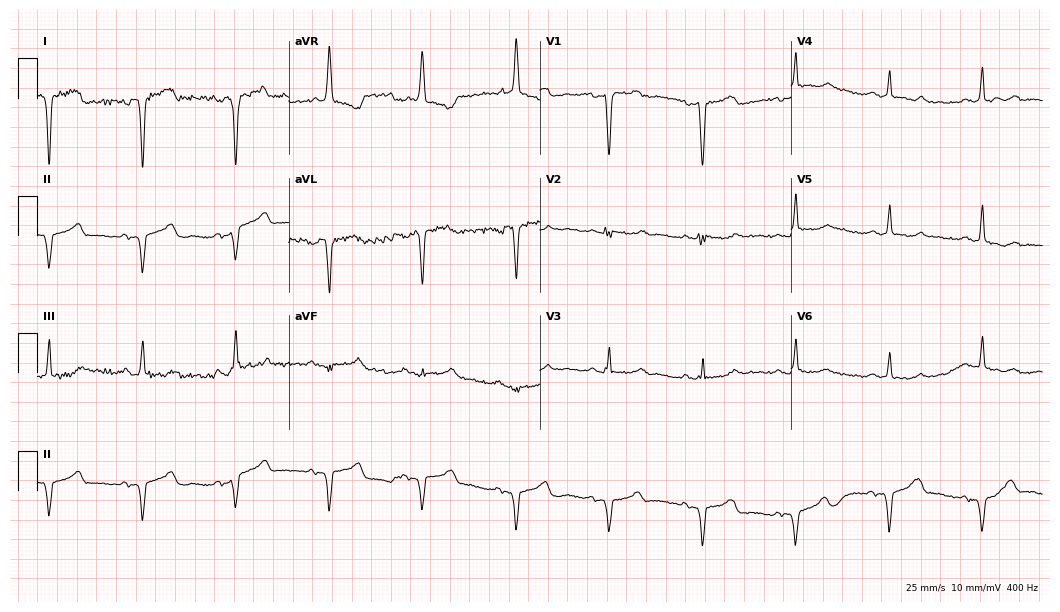
12-lead ECG from a female, 62 years old (10.2-second recording at 400 Hz). No first-degree AV block, right bundle branch block, left bundle branch block, sinus bradycardia, atrial fibrillation or sinus tachycardia recorded for this tracing. Findings outside these six are not listed.